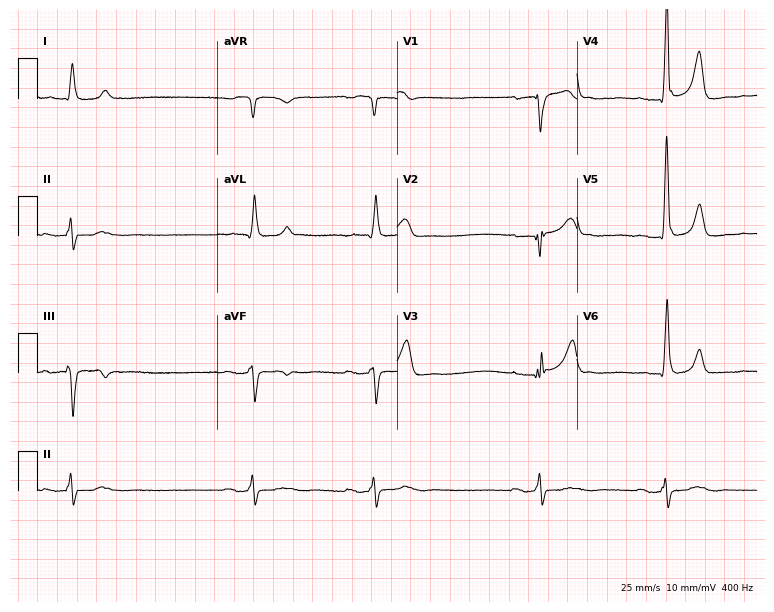
12-lead ECG from an 83-year-old man. Findings include first-degree AV block.